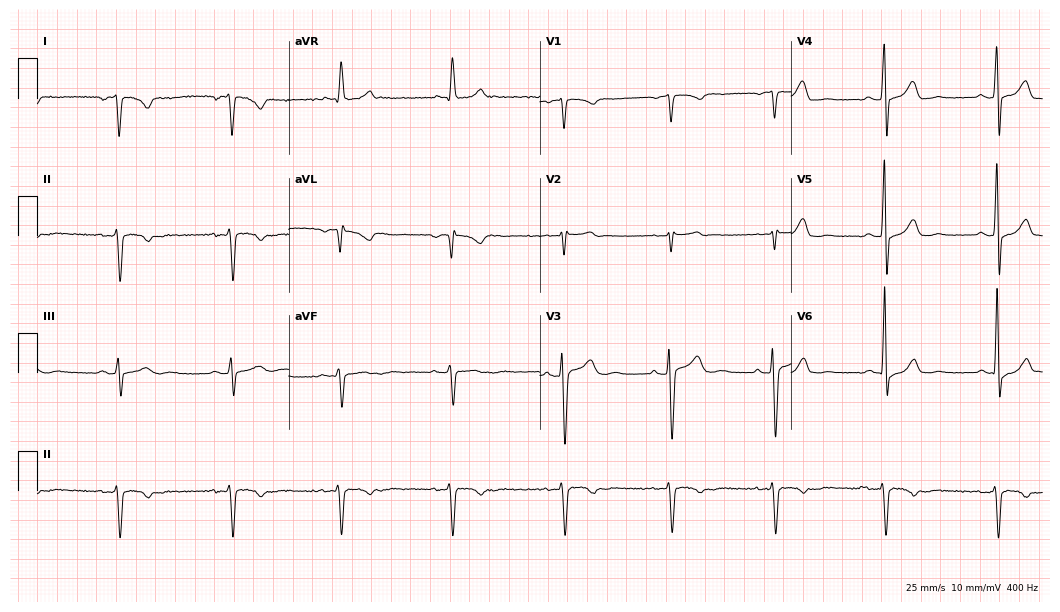
12-lead ECG from a 63-year-old man. Screened for six findings — first-degree AV block, right bundle branch block, left bundle branch block, sinus bradycardia, atrial fibrillation, sinus tachycardia — none is recorded. Only these six findings were labelled.